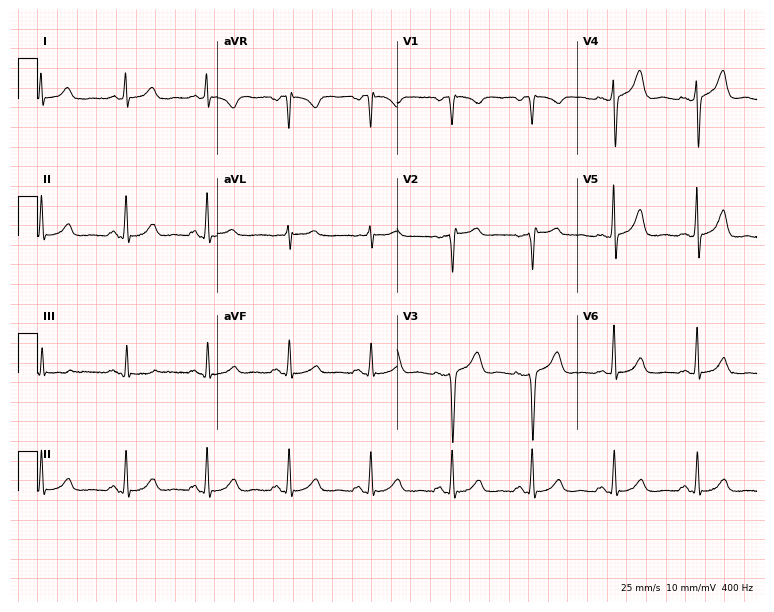
12-lead ECG from a female patient, 54 years old. No first-degree AV block, right bundle branch block, left bundle branch block, sinus bradycardia, atrial fibrillation or sinus tachycardia recorded for this tracing.